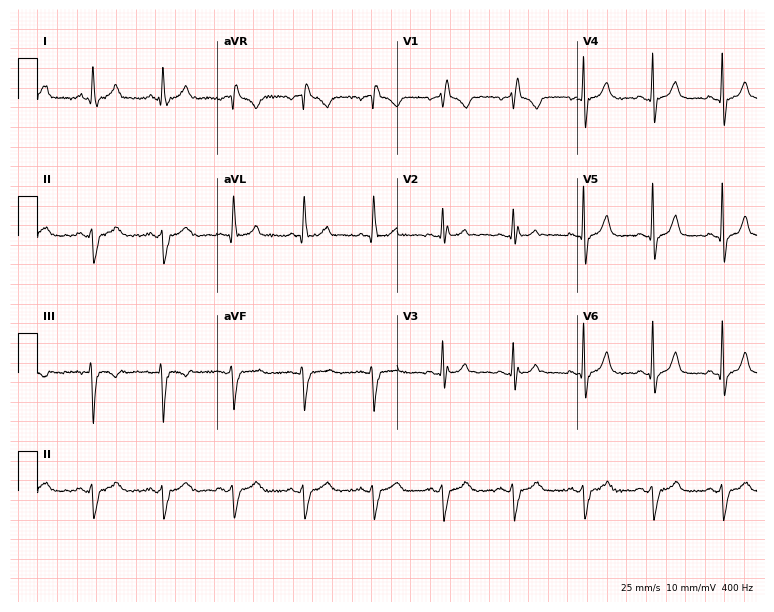
12-lead ECG (7.3-second recording at 400 Hz) from a 48-year-old woman. Screened for six findings — first-degree AV block, right bundle branch block, left bundle branch block, sinus bradycardia, atrial fibrillation, sinus tachycardia — none is recorded.